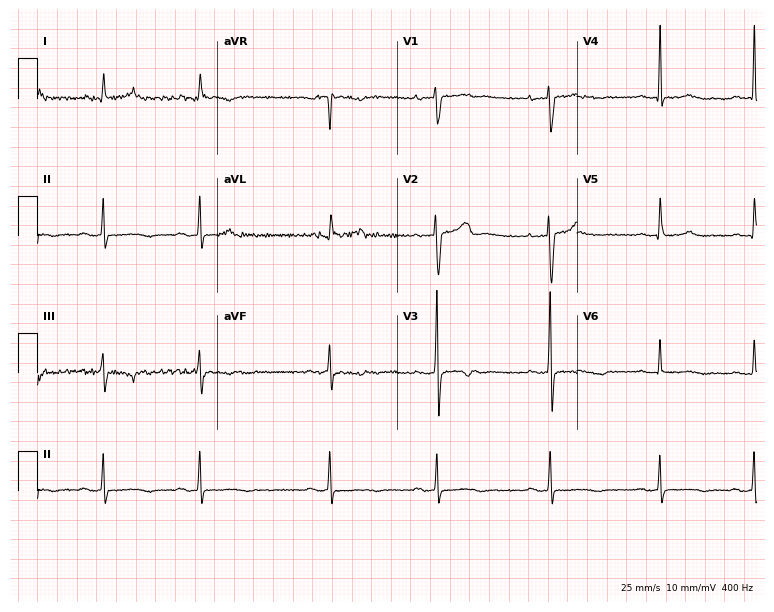
Standard 12-lead ECG recorded from a female, 27 years old (7.3-second recording at 400 Hz). Read as a normal ECG.